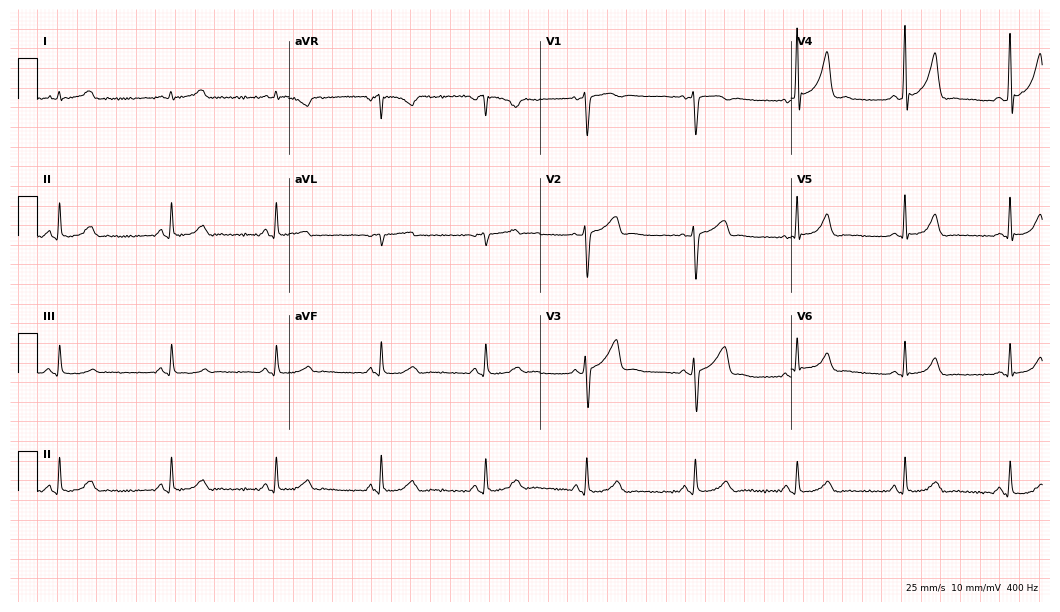
Standard 12-lead ECG recorded from a 43-year-old male patient. Read as a normal ECG.